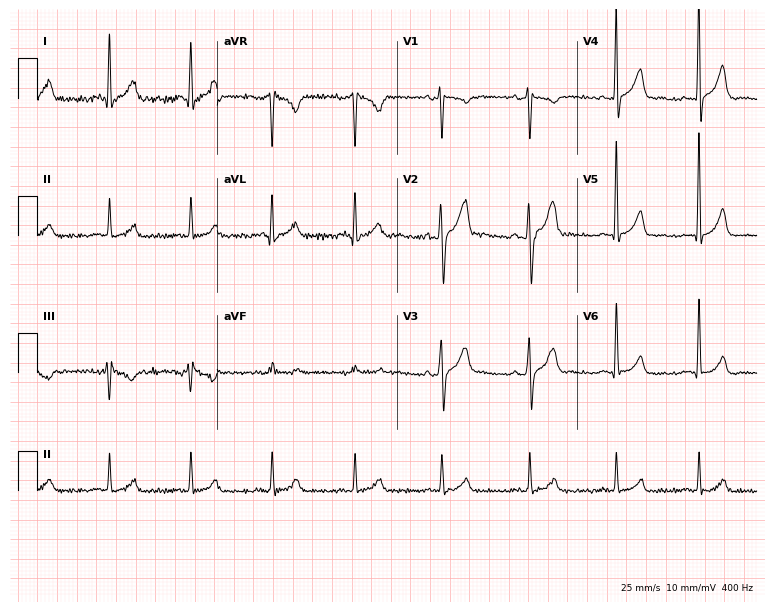
12-lead ECG from a 34-year-old man (7.3-second recording at 400 Hz). Recorded interpretation: within normal limits.